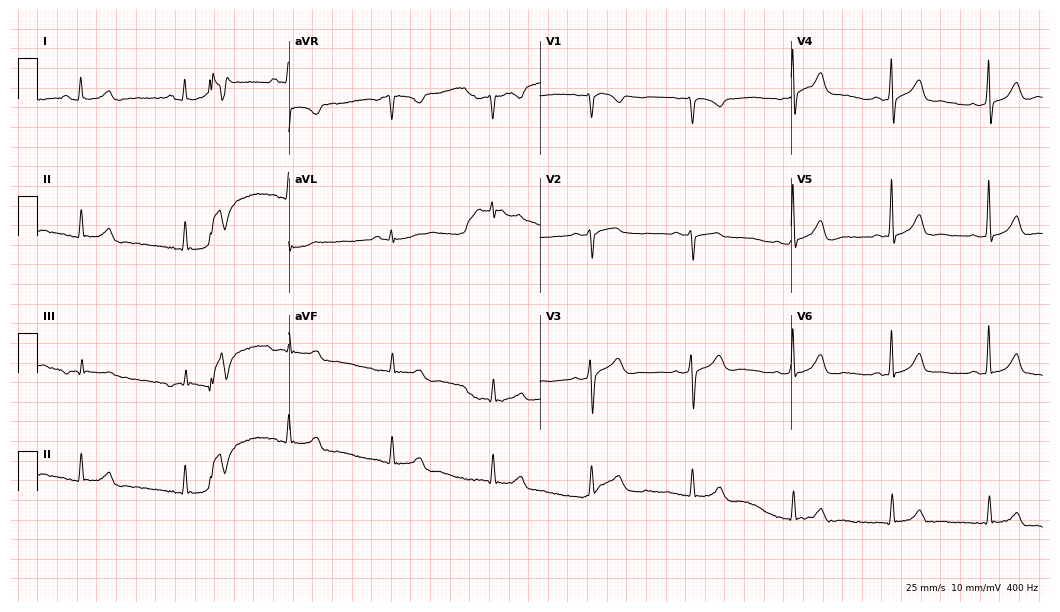
Standard 12-lead ECG recorded from a man, 61 years old. Read as a normal ECG.